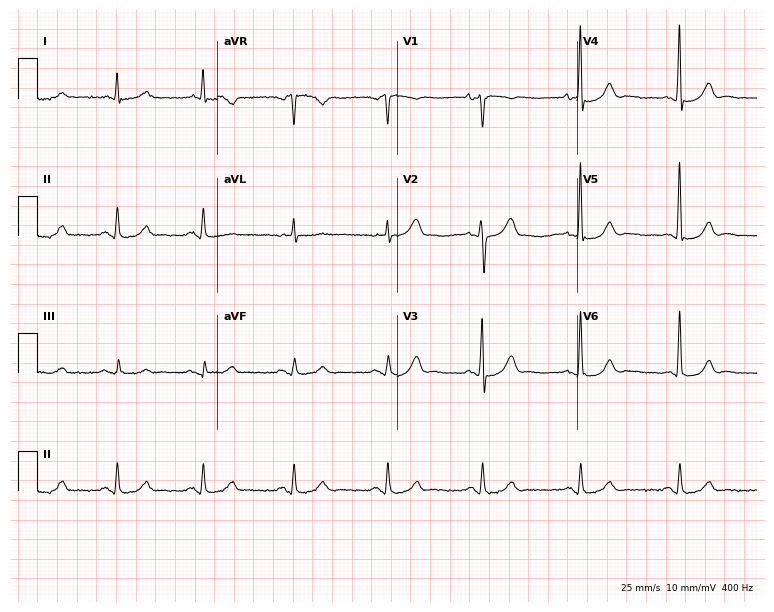
Electrocardiogram, a 65-year-old man. Overall reading on record: normal ECG.